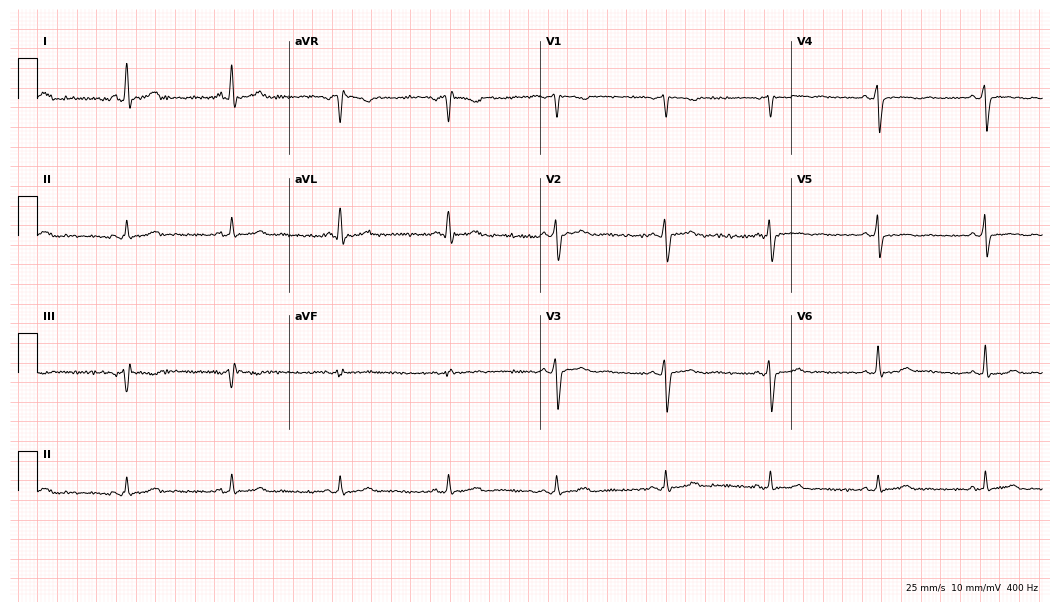
12-lead ECG from a female, 46 years old. Screened for six findings — first-degree AV block, right bundle branch block (RBBB), left bundle branch block (LBBB), sinus bradycardia, atrial fibrillation (AF), sinus tachycardia — none is recorded.